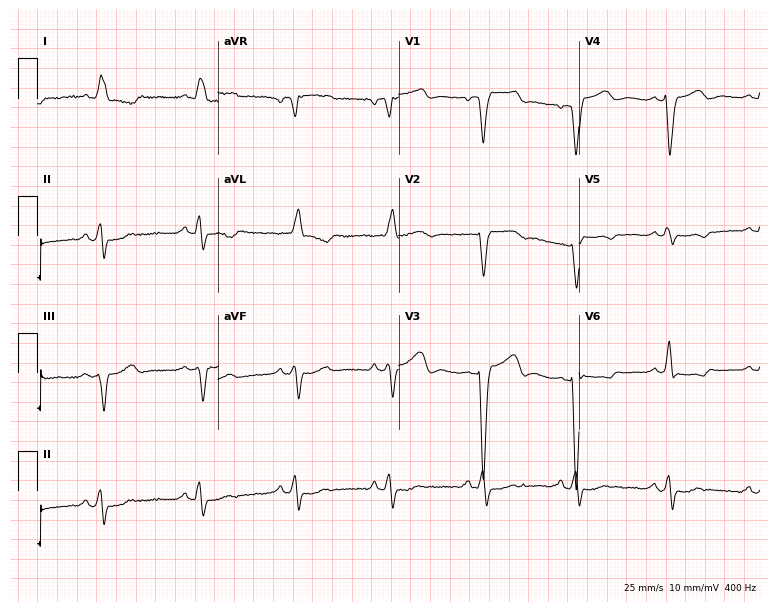
Electrocardiogram, a female, 85 years old. Interpretation includes left bundle branch block.